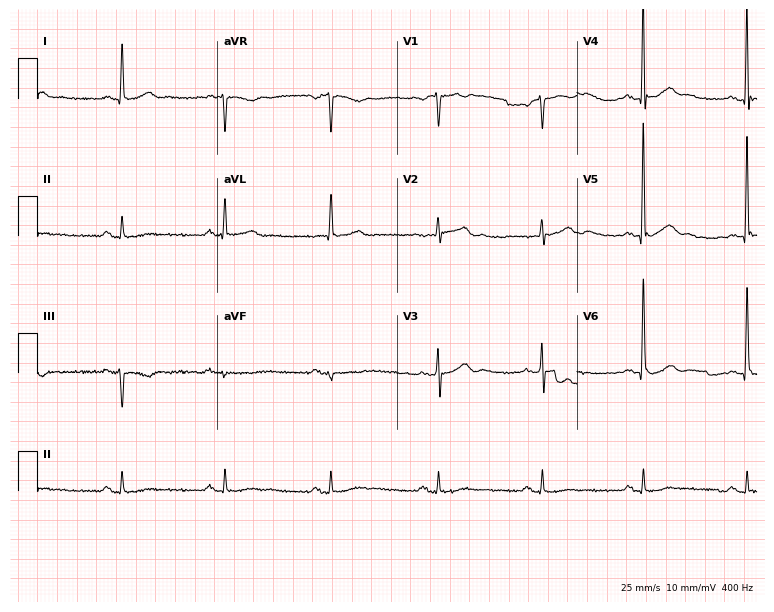
ECG (7.3-second recording at 400 Hz) — a man, 77 years old. Labelled as a normal ECG.